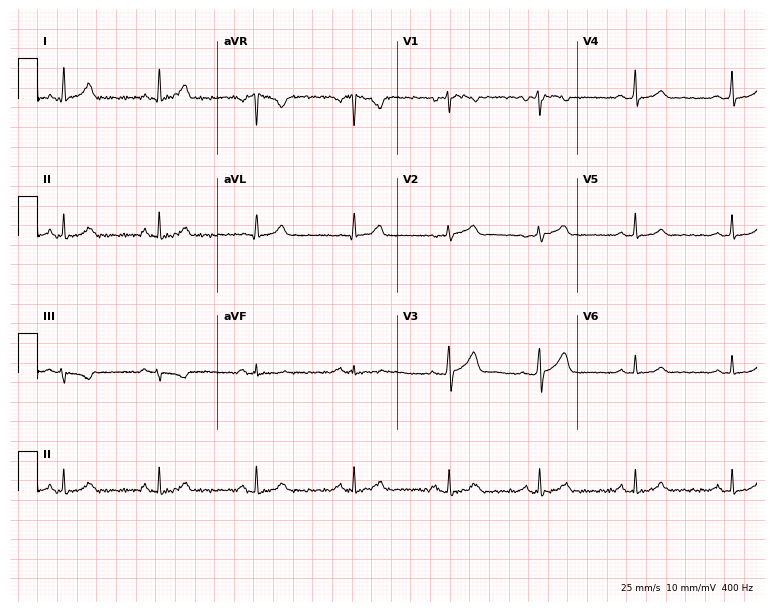
Electrocardiogram (7.3-second recording at 400 Hz), a woman, 30 years old. Overall reading on record: normal ECG.